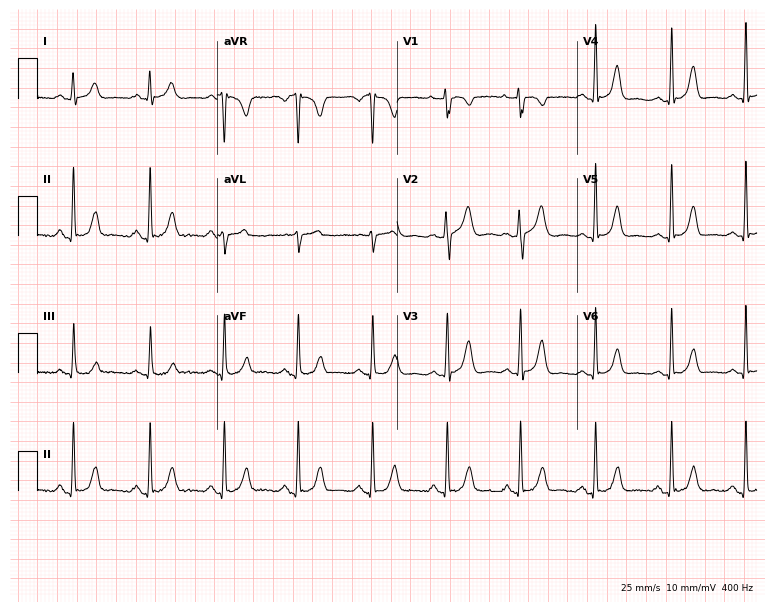
Standard 12-lead ECG recorded from a 35-year-old female. None of these six findings is recorded: first-degree AV block, right bundle branch block (RBBB), left bundle branch block (LBBB), sinus bradycardia, atrial fibrillation (AF), sinus tachycardia. Findings outside these six are not listed.